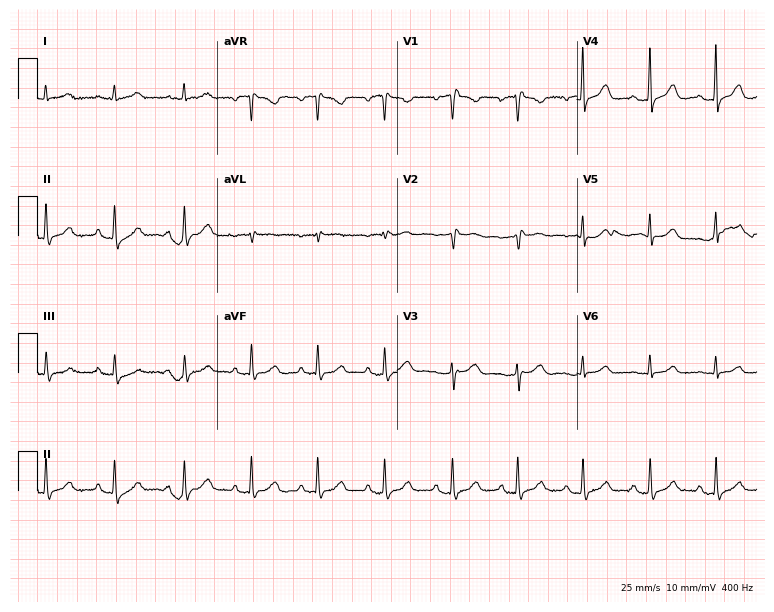
Electrocardiogram, a female patient, 49 years old. Of the six screened findings (first-degree AV block, right bundle branch block, left bundle branch block, sinus bradycardia, atrial fibrillation, sinus tachycardia), none is recorded.